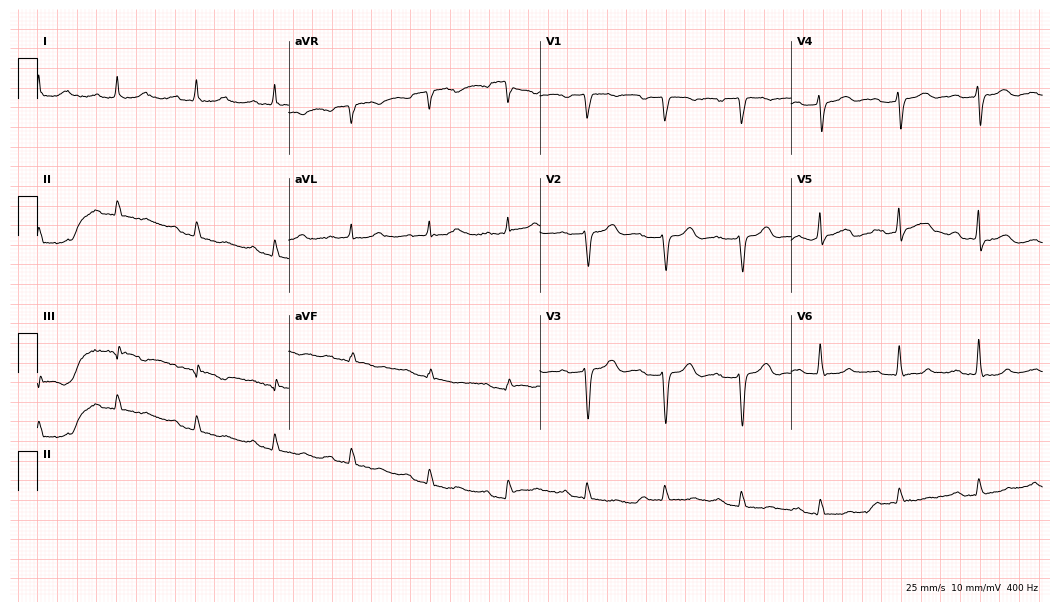
Standard 12-lead ECG recorded from a male patient, 80 years old (10.2-second recording at 400 Hz). The tracing shows first-degree AV block.